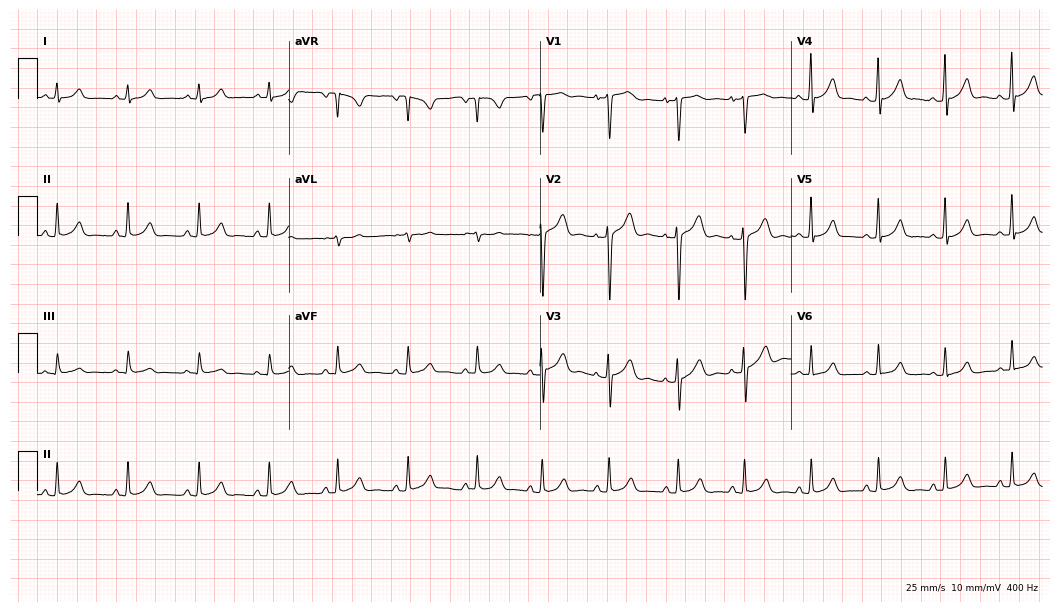
Electrocardiogram (10.2-second recording at 400 Hz), a female patient, 18 years old. Overall reading on record: normal ECG.